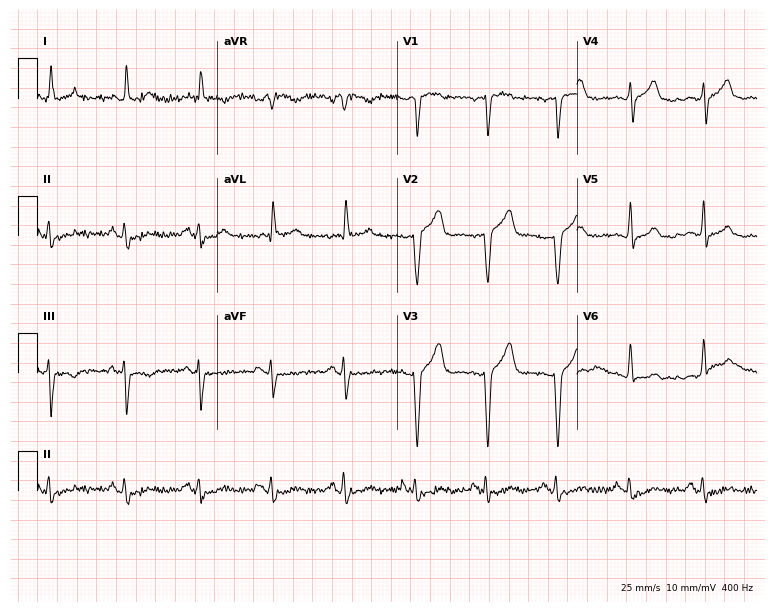
12-lead ECG from a 67-year-old man. No first-degree AV block, right bundle branch block (RBBB), left bundle branch block (LBBB), sinus bradycardia, atrial fibrillation (AF) or sinus tachycardia recorded for this tracing. Only these six findings were labelled.